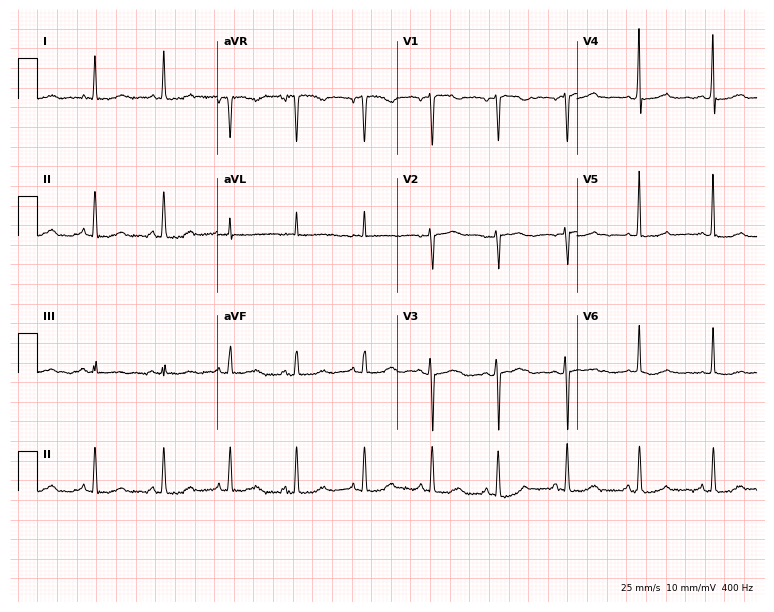
Electrocardiogram (7.3-second recording at 400 Hz), a female, 57 years old. Of the six screened findings (first-degree AV block, right bundle branch block, left bundle branch block, sinus bradycardia, atrial fibrillation, sinus tachycardia), none is recorded. Other findings, if any, are not listed.